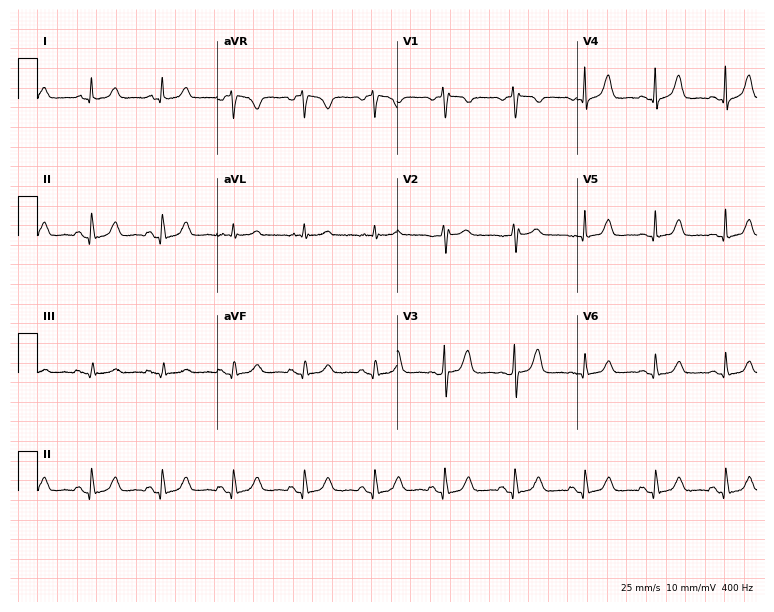
Electrocardiogram, a female patient, 75 years old. Overall reading on record: normal ECG.